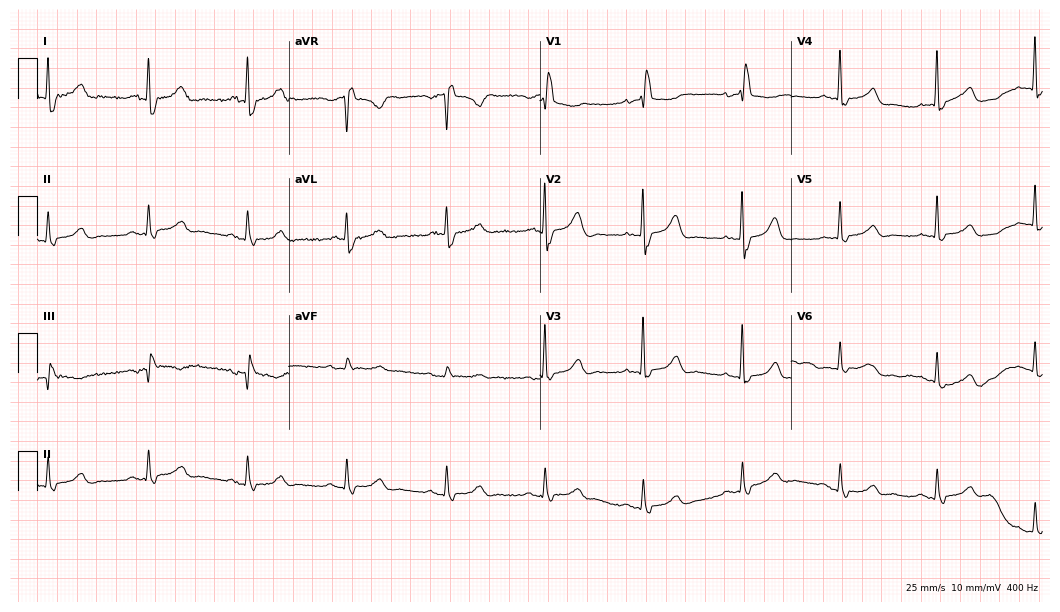
Electrocardiogram (10.2-second recording at 400 Hz), a woman, 83 years old. Interpretation includes right bundle branch block (RBBB).